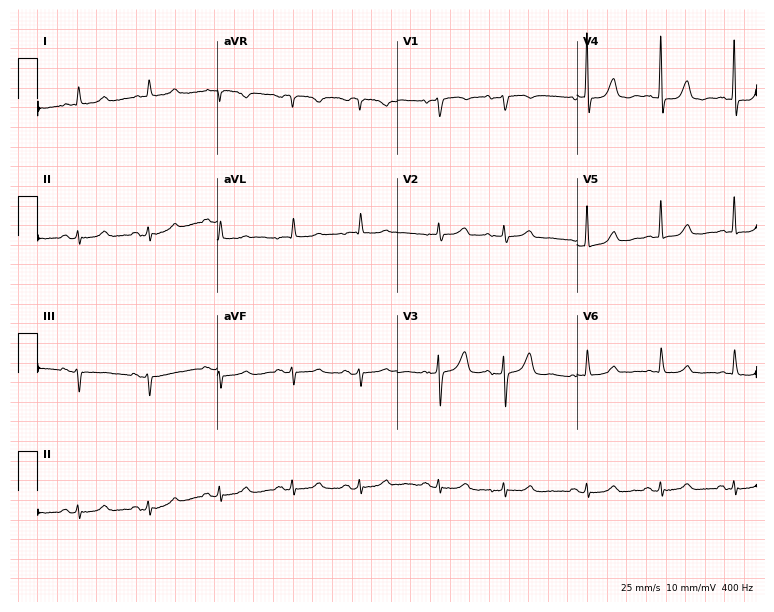
12-lead ECG from an 82-year-old woman (7.3-second recording at 400 Hz). No first-degree AV block, right bundle branch block (RBBB), left bundle branch block (LBBB), sinus bradycardia, atrial fibrillation (AF) or sinus tachycardia recorded for this tracing.